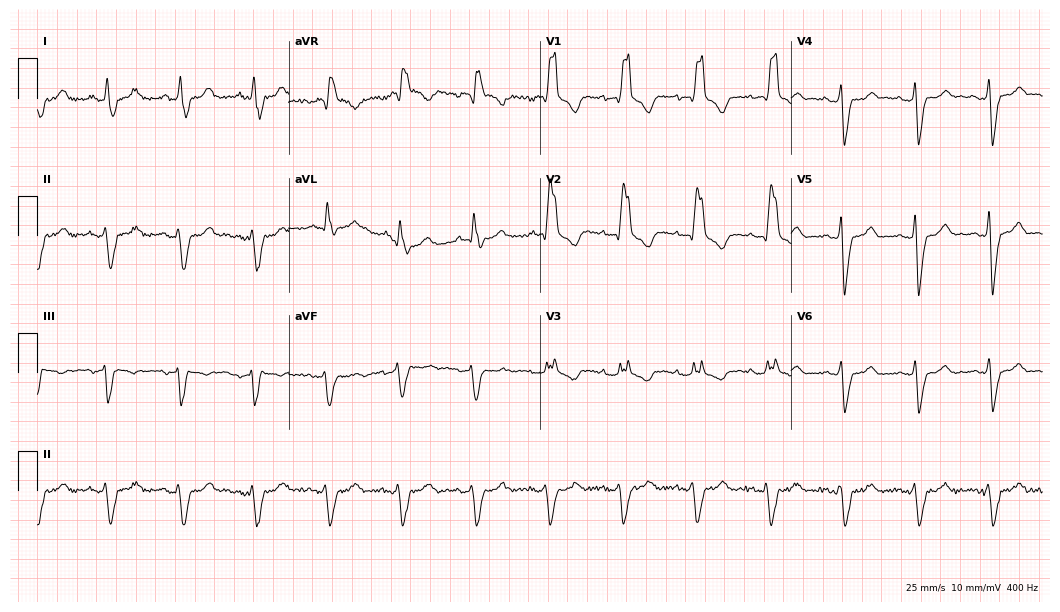
Electrocardiogram, a 74-year-old man. Interpretation includes right bundle branch block.